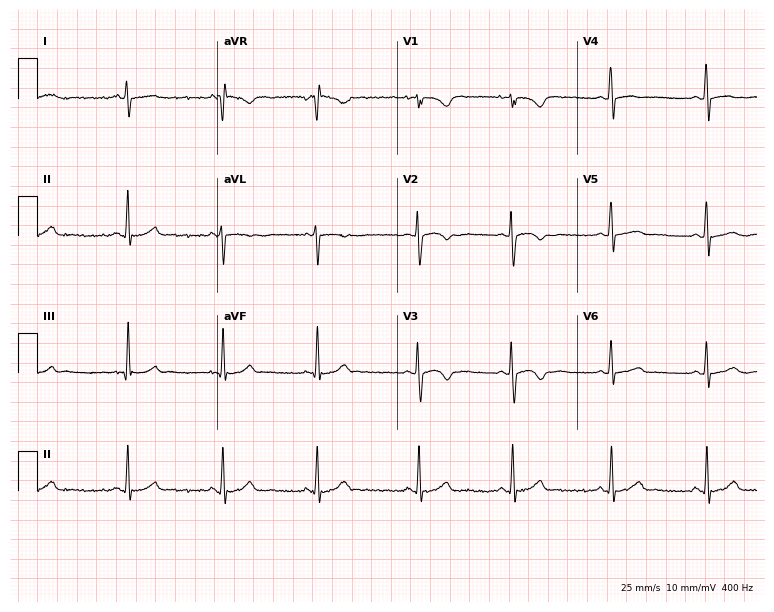
Electrocardiogram, a woman, 25 years old. Of the six screened findings (first-degree AV block, right bundle branch block, left bundle branch block, sinus bradycardia, atrial fibrillation, sinus tachycardia), none is recorded.